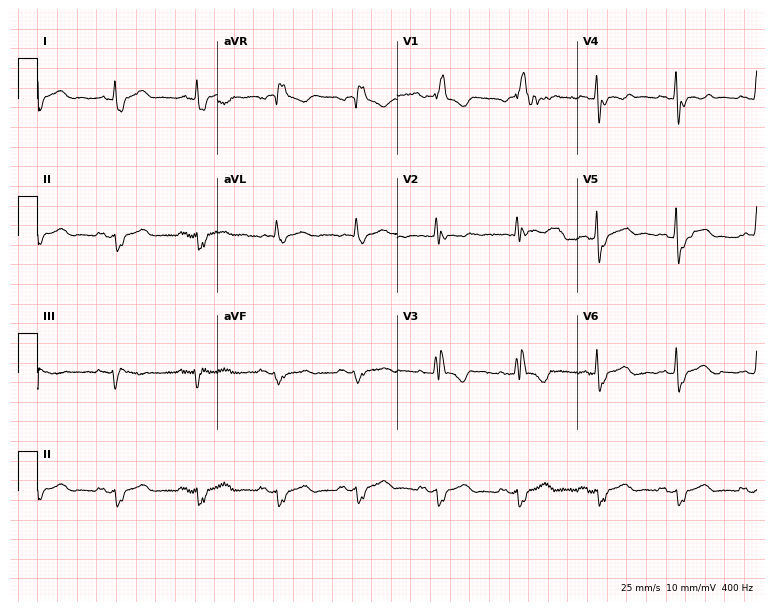
12-lead ECG from a female, 77 years old. Screened for six findings — first-degree AV block, right bundle branch block, left bundle branch block, sinus bradycardia, atrial fibrillation, sinus tachycardia — none is recorded.